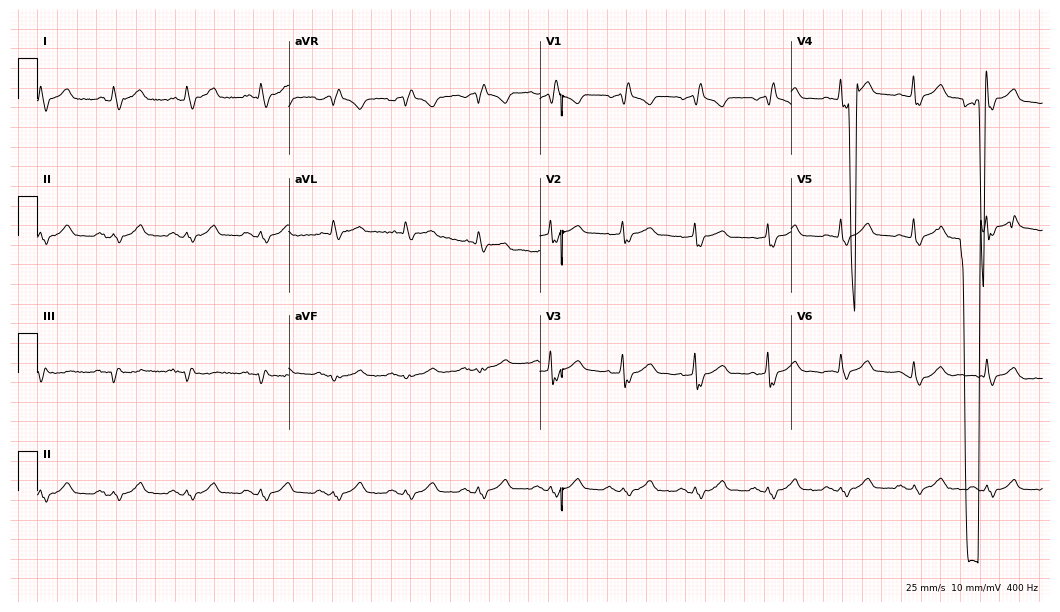
12-lead ECG from a 58-year-old male (10.2-second recording at 400 Hz). No first-degree AV block, right bundle branch block, left bundle branch block, sinus bradycardia, atrial fibrillation or sinus tachycardia recorded for this tracing.